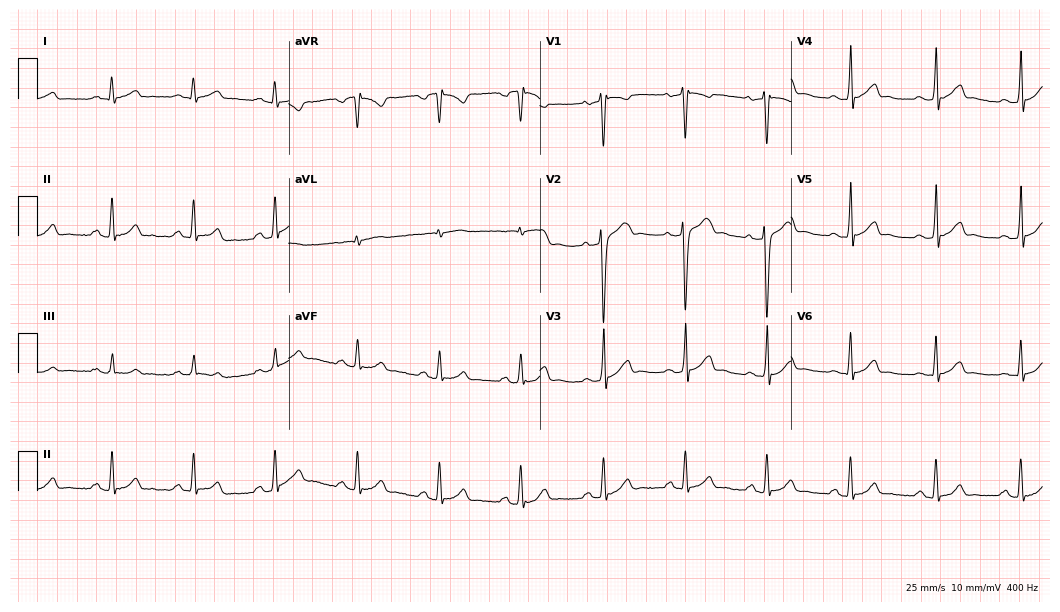
Resting 12-lead electrocardiogram. Patient: a 39-year-old male. Read as a normal ECG.